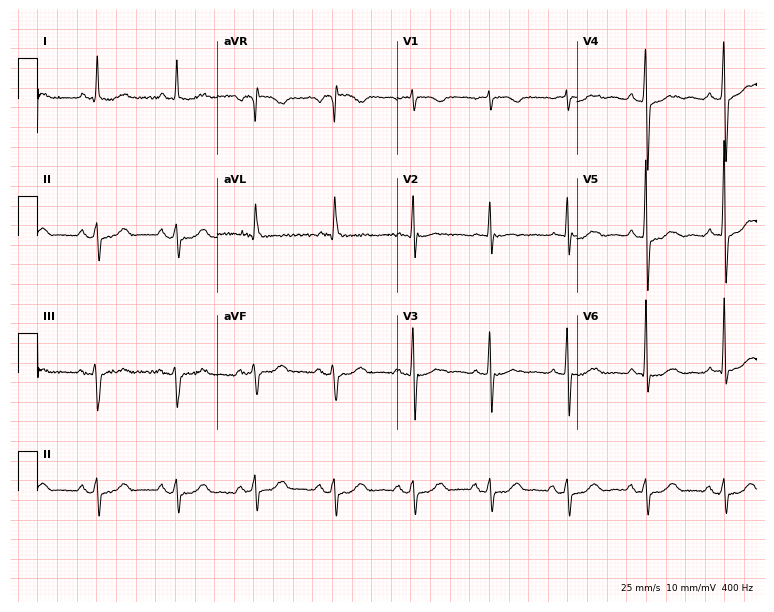
Electrocardiogram (7.3-second recording at 400 Hz), a female, 78 years old. Of the six screened findings (first-degree AV block, right bundle branch block, left bundle branch block, sinus bradycardia, atrial fibrillation, sinus tachycardia), none is recorded.